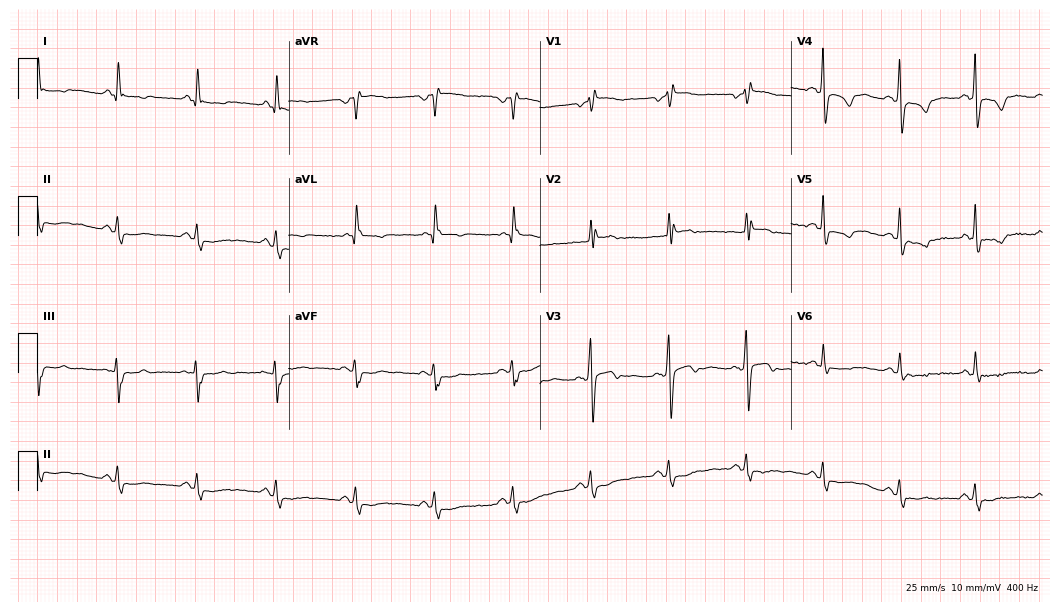
Electrocardiogram (10.2-second recording at 400 Hz), a man, 47 years old. Of the six screened findings (first-degree AV block, right bundle branch block, left bundle branch block, sinus bradycardia, atrial fibrillation, sinus tachycardia), none is recorded.